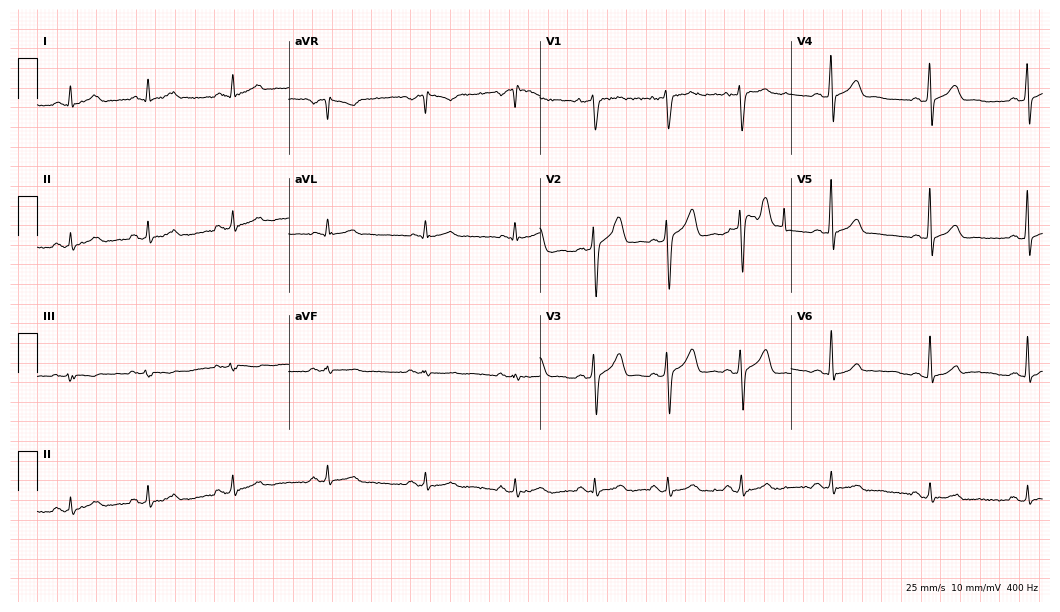
Standard 12-lead ECG recorded from a male patient, 40 years old. None of these six findings is recorded: first-degree AV block, right bundle branch block, left bundle branch block, sinus bradycardia, atrial fibrillation, sinus tachycardia. Findings outside these six are not listed.